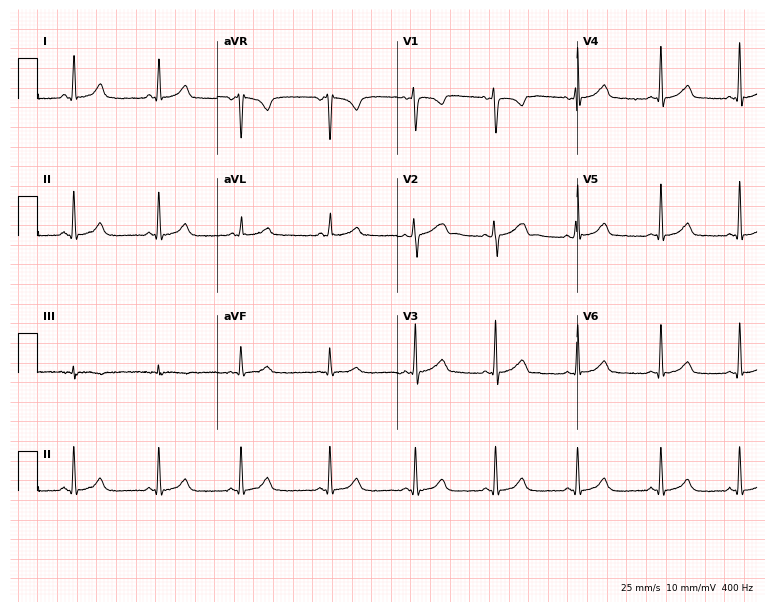
Standard 12-lead ECG recorded from a 35-year-old female (7.3-second recording at 400 Hz). None of these six findings is recorded: first-degree AV block, right bundle branch block, left bundle branch block, sinus bradycardia, atrial fibrillation, sinus tachycardia. Only these six findings were labelled.